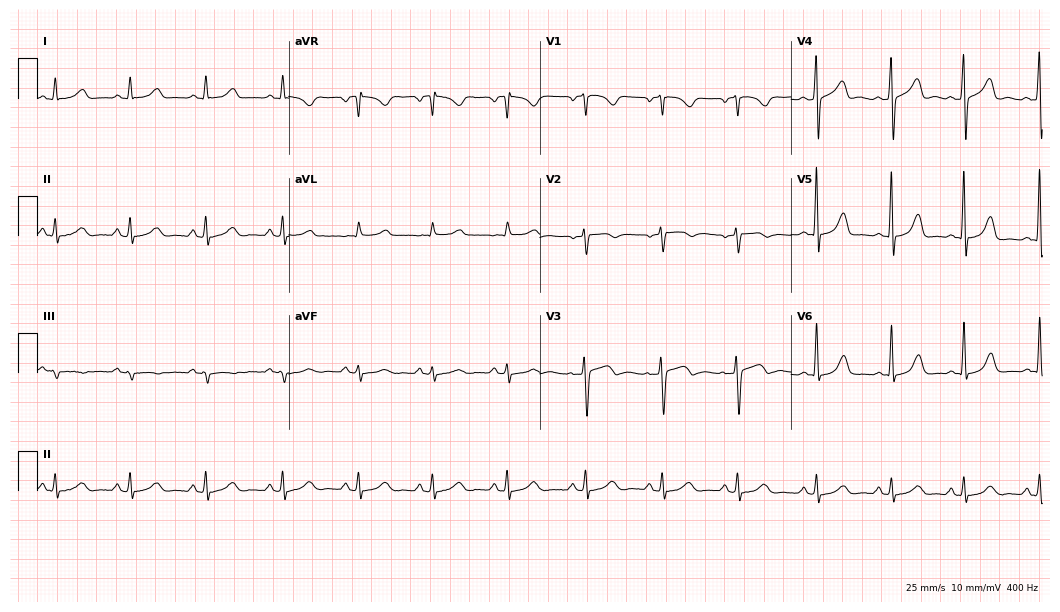
Resting 12-lead electrocardiogram (10.2-second recording at 400 Hz). Patient: a female, 60 years old. None of these six findings is recorded: first-degree AV block, right bundle branch block, left bundle branch block, sinus bradycardia, atrial fibrillation, sinus tachycardia. Only these six findings were labelled.